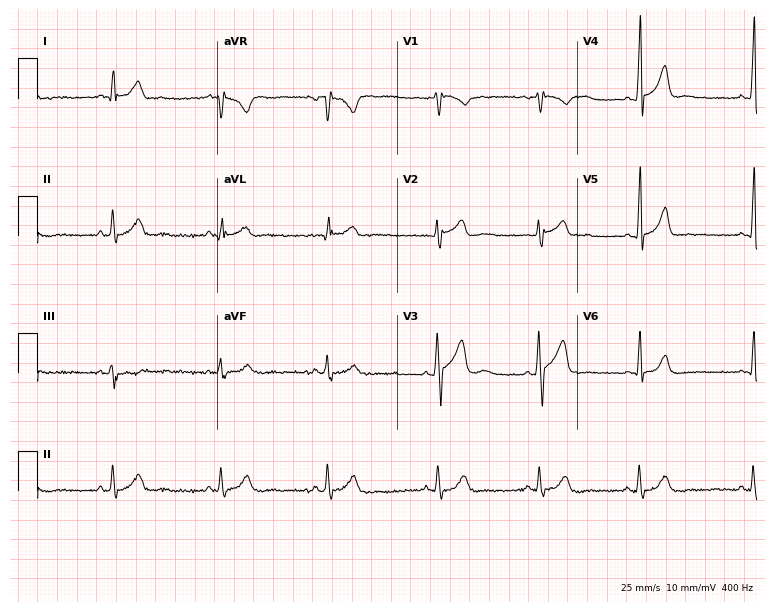
Standard 12-lead ECG recorded from a 21-year-old male patient. Read as a normal ECG.